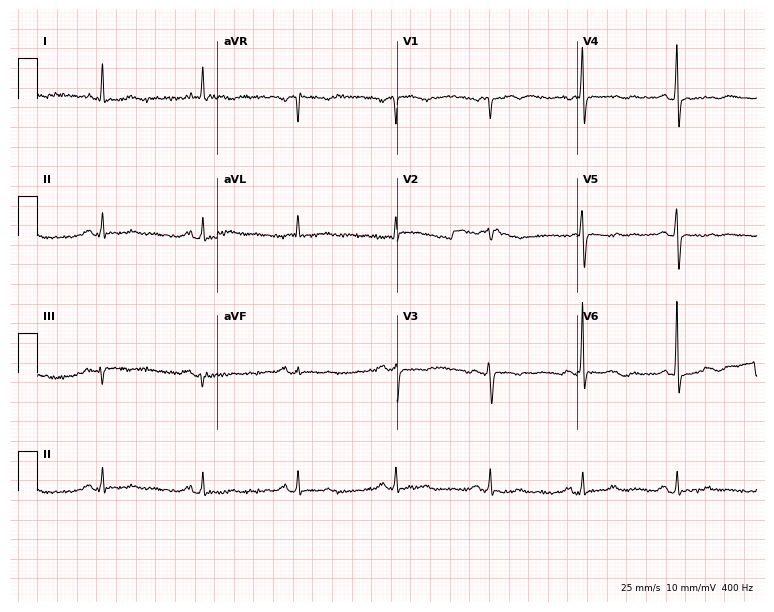
Resting 12-lead electrocardiogram (7.3-second recording at 400 Hz). Patient: a woman, 84 years old. None of these six findings is recorded: first-degree AV block, right bundle branch block, left bundle branch block, sinus bradycardia, atrial fibrillation, sinus tachycardia. Only these six findings were labelled.